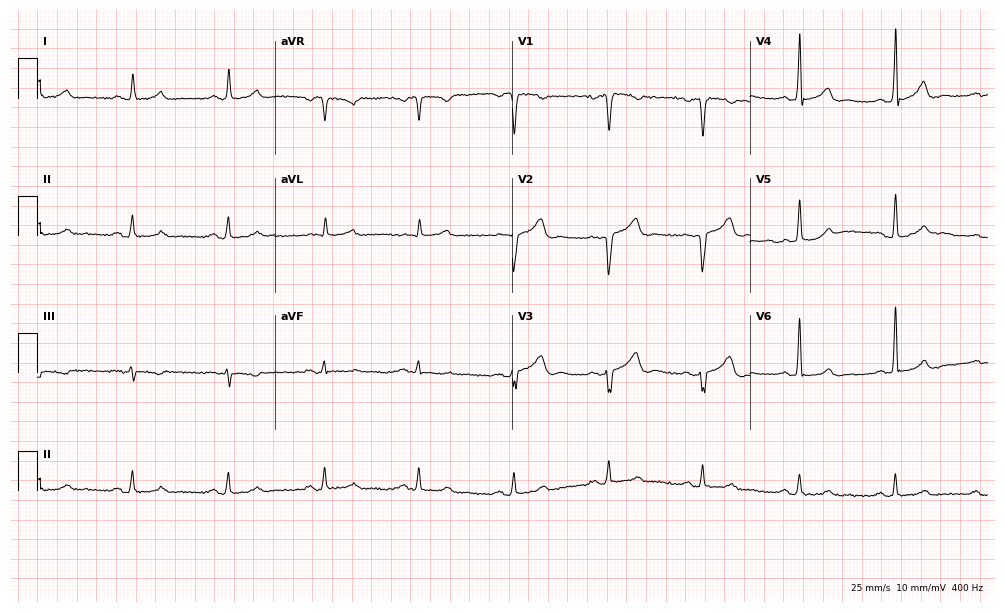
12-lead ECG from an 87-year-old male. Screened for six findings — first-degree AV block, right bundle branch block, left bundle branch block, sinus bradycardia, atrial fibrillation, sinus tachycardia — none is recorded. Only these six findings were labelled.